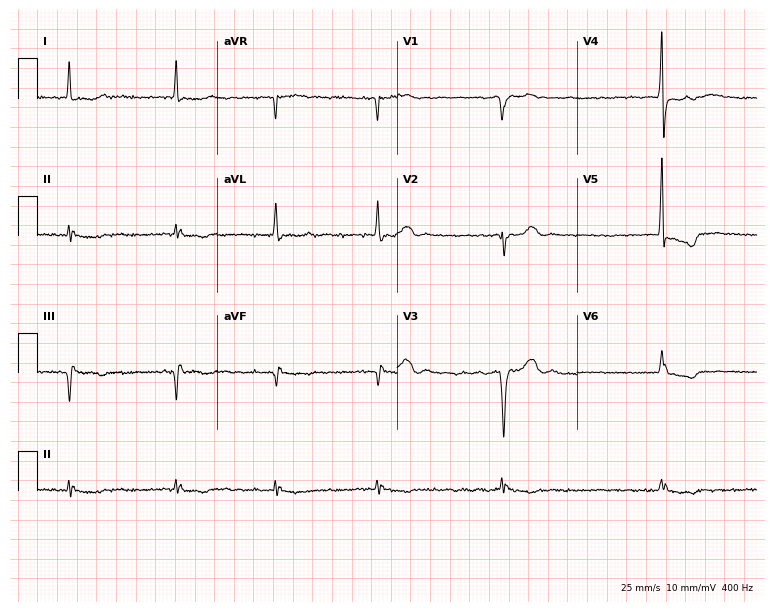
12-lead ECG from an 84-year-old man (7.3-second recording at 400 Hz). No first-degree AV block, right bundle branch block (RBBB), left bundle branch block (LBBB), sinus bradycardia, atrial fibrillation (AF) or sinus tachycardia recorded for this tracing.